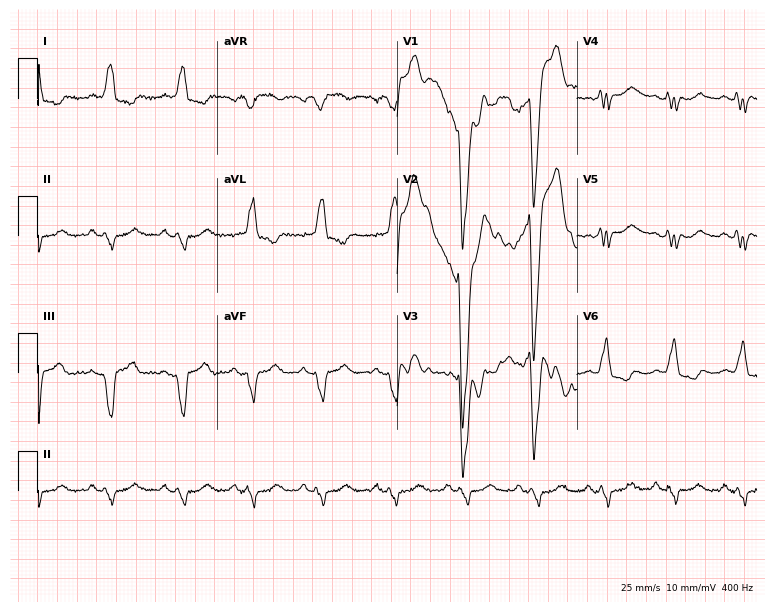
ECG — a 69-year-old man. Findings include left bundle branch block (LBBB).